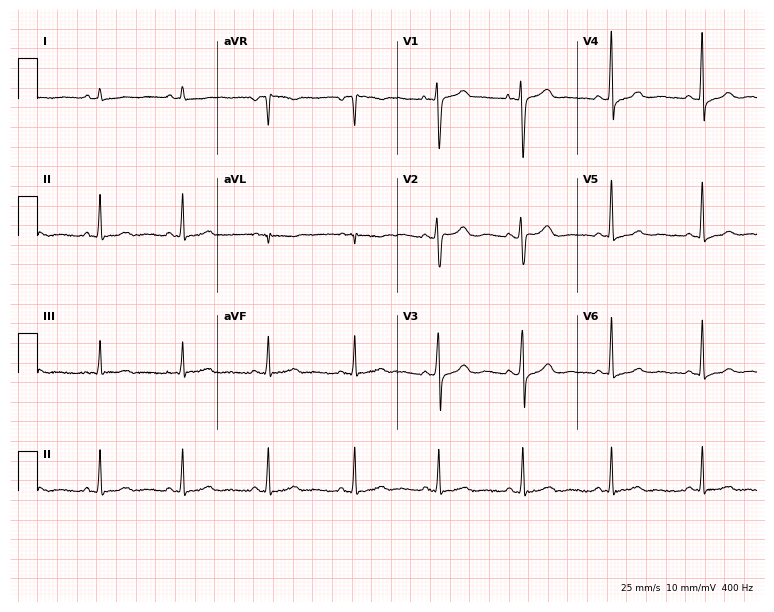
Standard 12-lead ECG recorded from a 33-year-old woman. None of these six findings is recorded: first-degree AV block, right bundle branch block (RBBB), left bundle branch block (LBBB), sinus bradycardia, atrial fibrillation (AF), sinus tachycardia. Other findings, if any, are not listed.